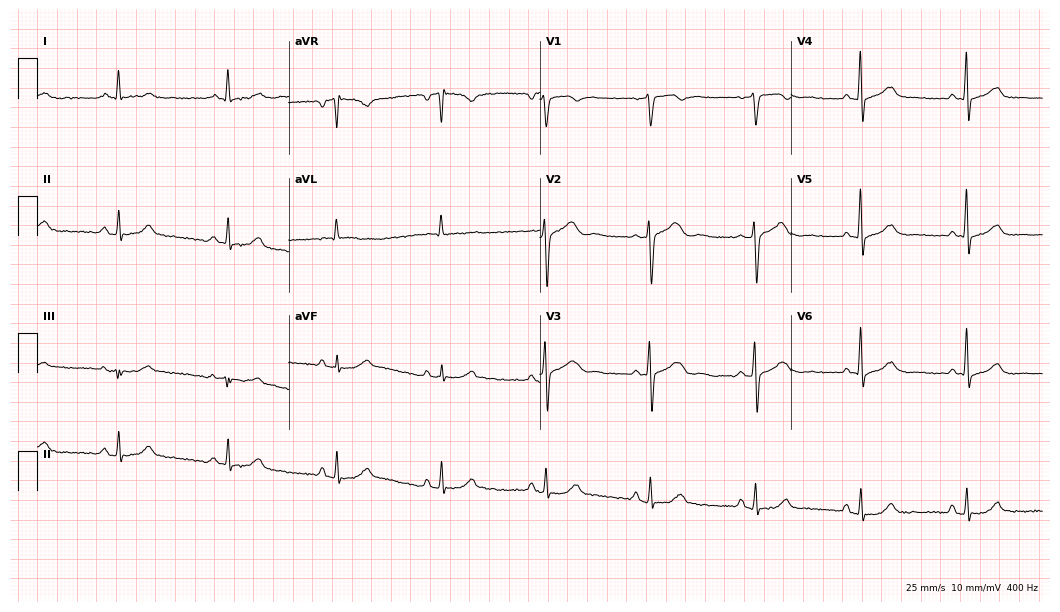
Resting 12-lead electrocardiogram (10.2-second recording at 400 Hz). Patient: a male, 61 years old. None of these six findings is recorded: first-degree AV block, right bundle branch block, left bundle branch block, sinus bradycardia, atrial fibrillation, sinus tachycardia.